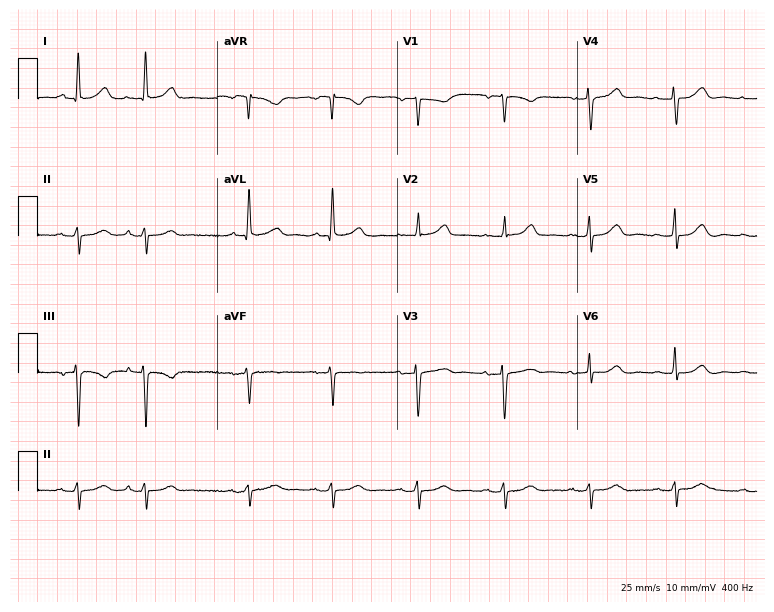
12-lead ECG from a female, 70 years old (7.3-second recording at 400 Hz). No first-degree AV block, right bundle branch block, left bundle branch block, sinus bradycardia, atrial fibrillation or sinus tachycardia recorded for this tracing.